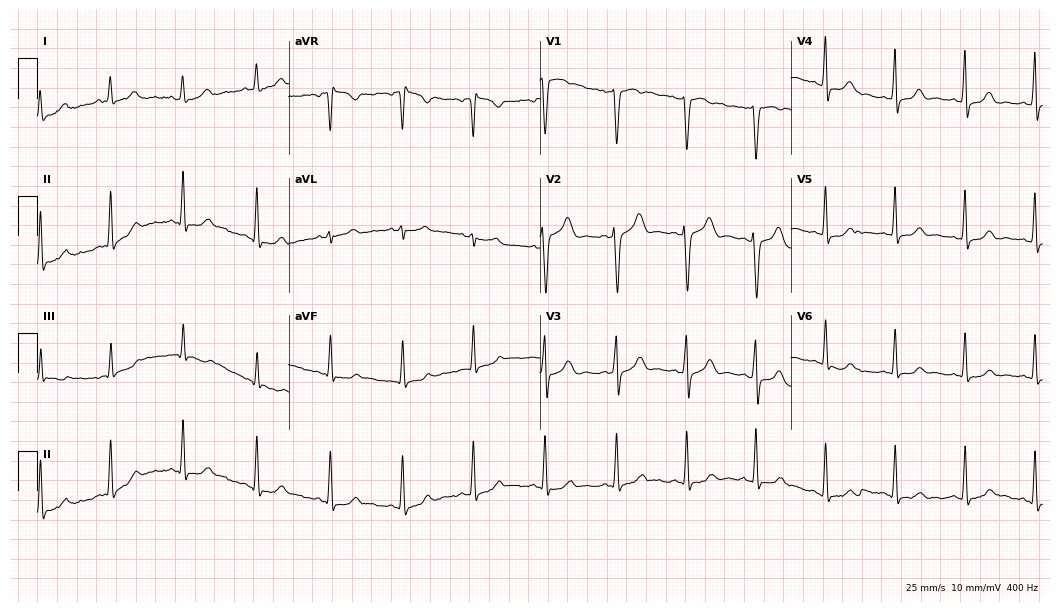
ECG (10.2-second recording at 400 Hz) — a female, 44 years old. Labelled as a normal ECG.